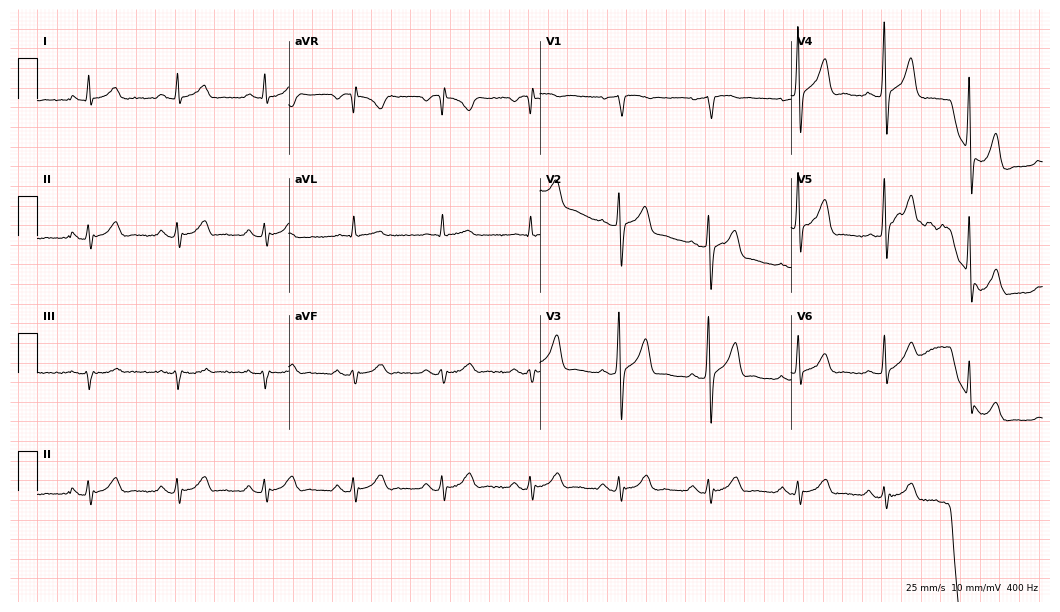
Resting 12-lead electrocardiogram. Patient: a 61-year-old male. None of these six findings is recorded: first-degree AV block, right bundle branch block, left bundle branch block, sinus bradycardia, atrial fibrillation, sinus tachycardia. Other findings, if any, are not listed.